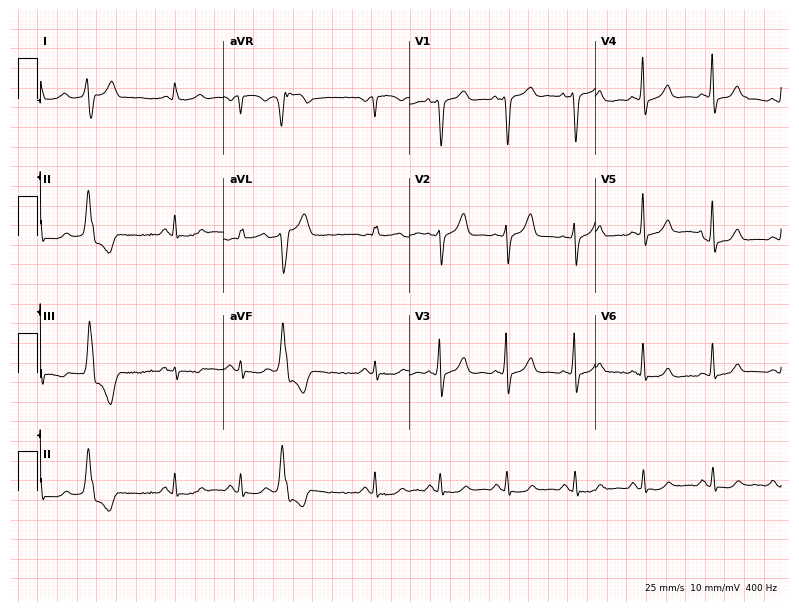
12-lead ECG from a 63-year-old man (7.6-second recording at 400 Hz). No first-degree AV block, right bundle branch block, left bundle branch block, sinus bradycardia, atrial fibrillation or sinus tachycardia recorded for this tracing. Only these six findings were labelled.